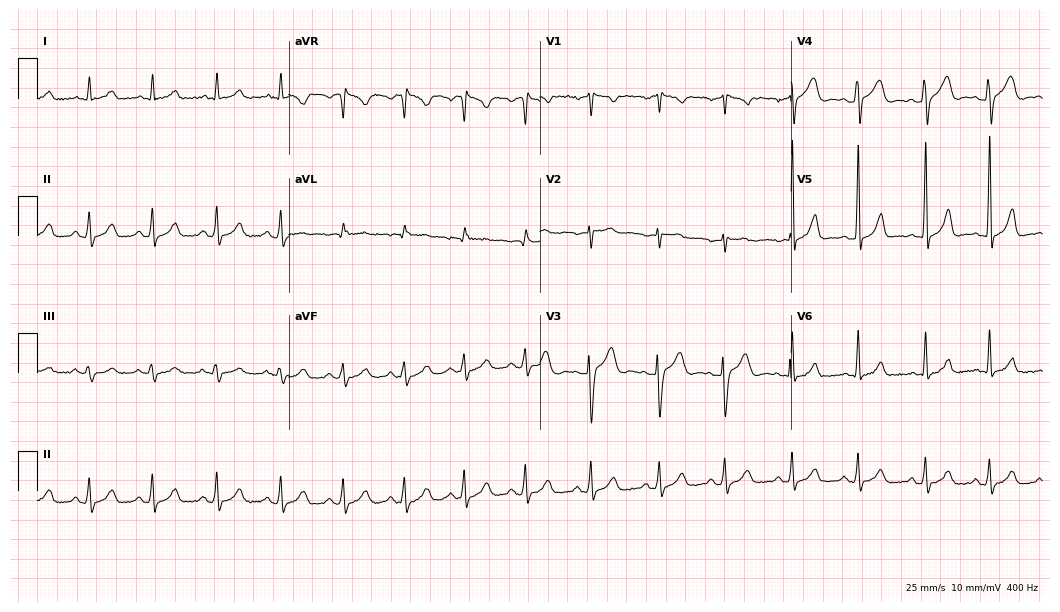
12-lead ECG from a 33-year-old female patient. Recorded interpretation: within normal limits.